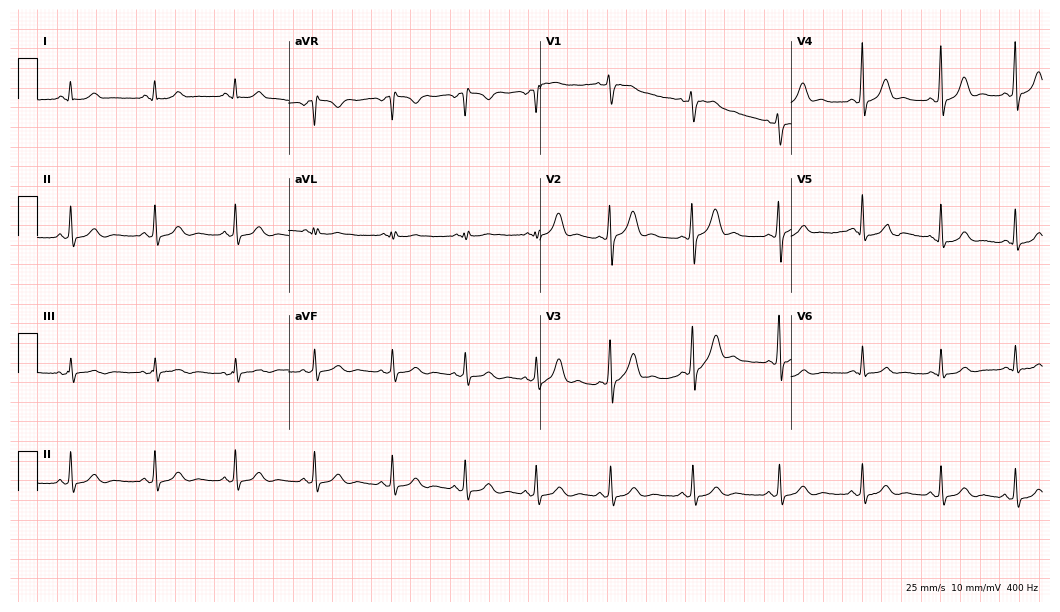
Standard 12-lead ECG recorded from a man, 29 years old. Read as a normal ECG.